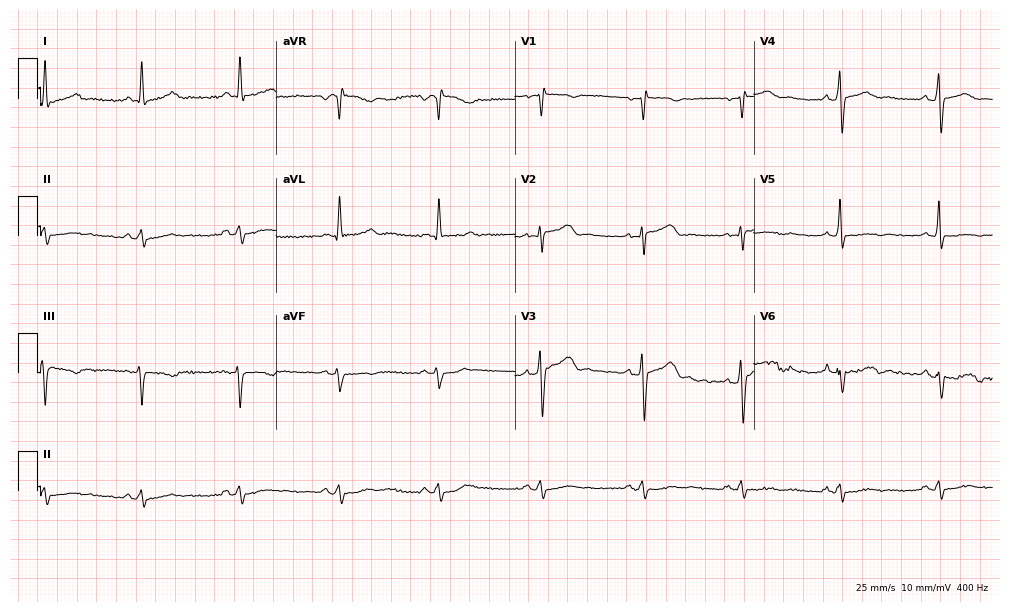
Resting 12-lead electrocardiogram (9.7-second recording at 400 Hz). Patient: a 64-year-old male. Read as a normal ECG.